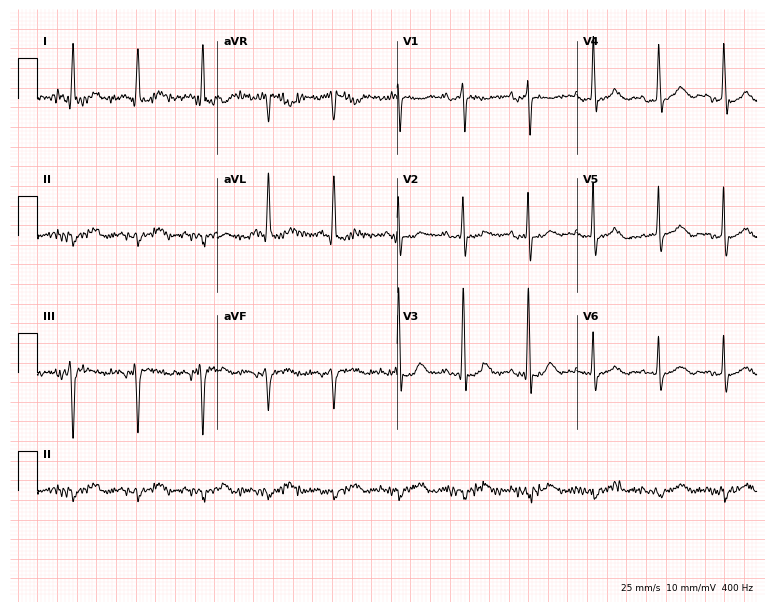
Resting 12-lead electrocardiogram (7.3-second recording at 400 Hz). Patient: a female, 79 years old. None of these six findings is recorded: first-degree AV block, right bundle branch block (RBBB), left bundle branch block (LBBB), sinus bradycardia, atrial fibrillation (AF), sinus tachycardia.